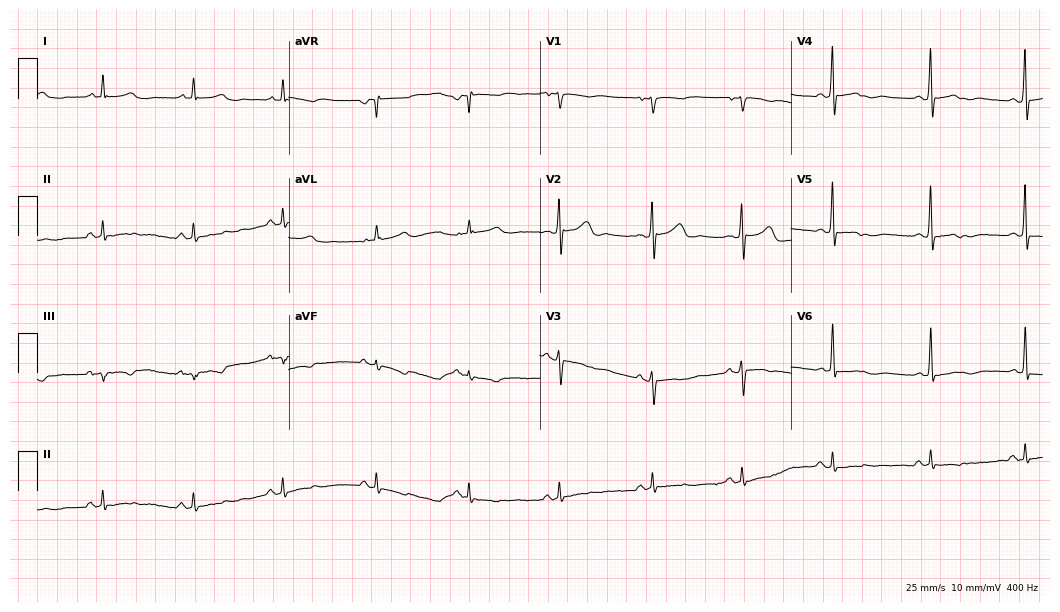
Electrocardiogram (10.2-second recording at 400 Hz), a 39-year-old woman. Overall reading on record: normal ECG.